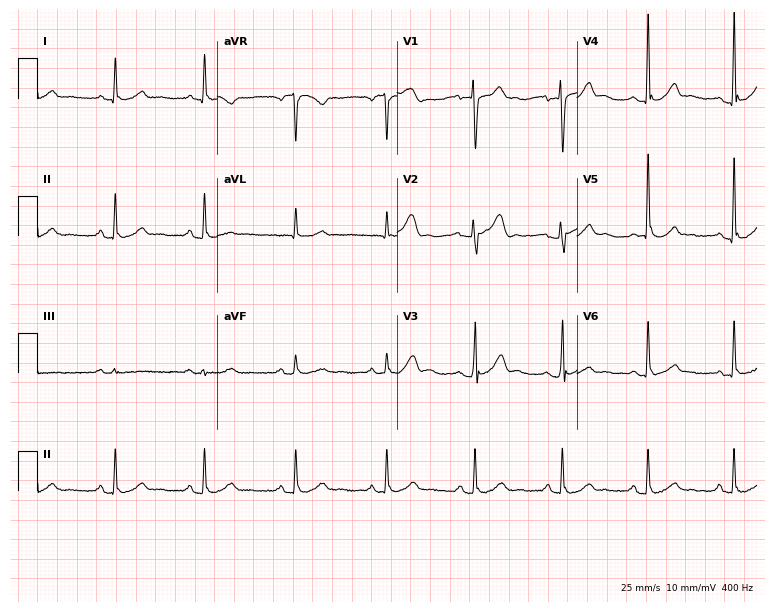
Resting 12-lead electrocardiogram (7.3-second recording at 400 Hz). Patient: a 52-year-old male. None of these six findings is recorded: first-degree AV block, right bundle branch block, left bundle branch block, sinus bradycardia, atrial fibrillation, sinus tachycardia.